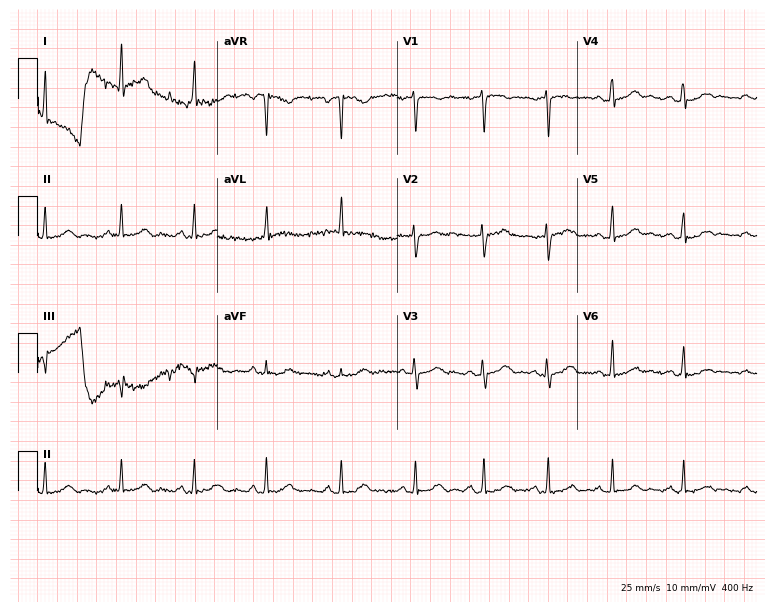
Resting 12-lead electrocardiogram. Patient: a 45-year-old female. Read as a normal ECG.